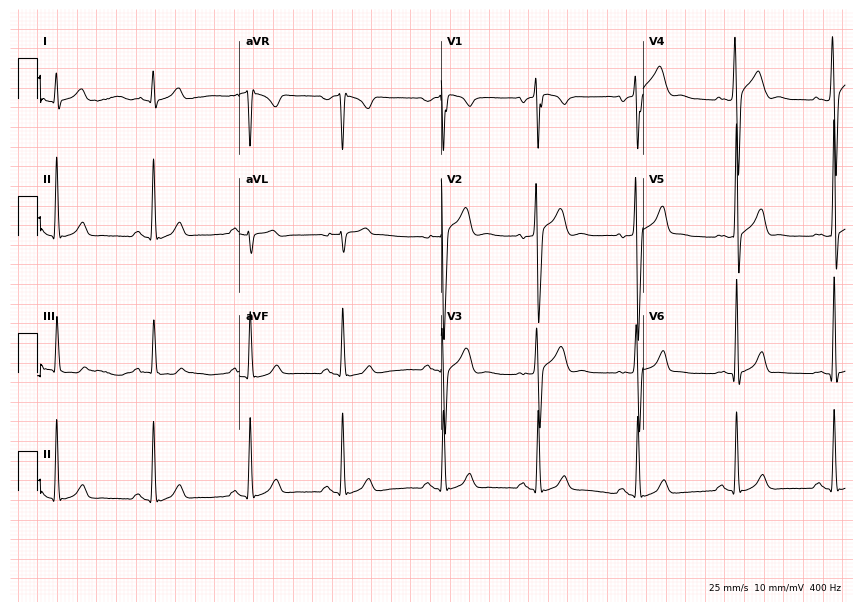
12-lead ECG (8.2-second recording at 400 Hz) from a 29-year-old man. Screened for six findings — first-degree AV block, right bundle branch block, left bundle branch block, sinus bradycardia, atrial fibrillation, sinus tachycardia — none is recorded. Other findings, if any, are not listed.